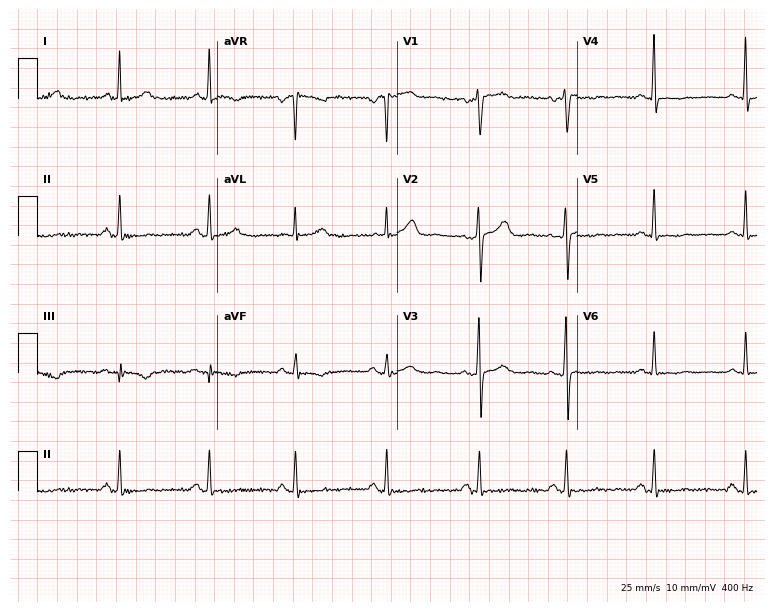
12-lead ECG from a 49-year-old female patient (7.3-second recording at 400 Hz). Recorded interpretation: within normal limits.